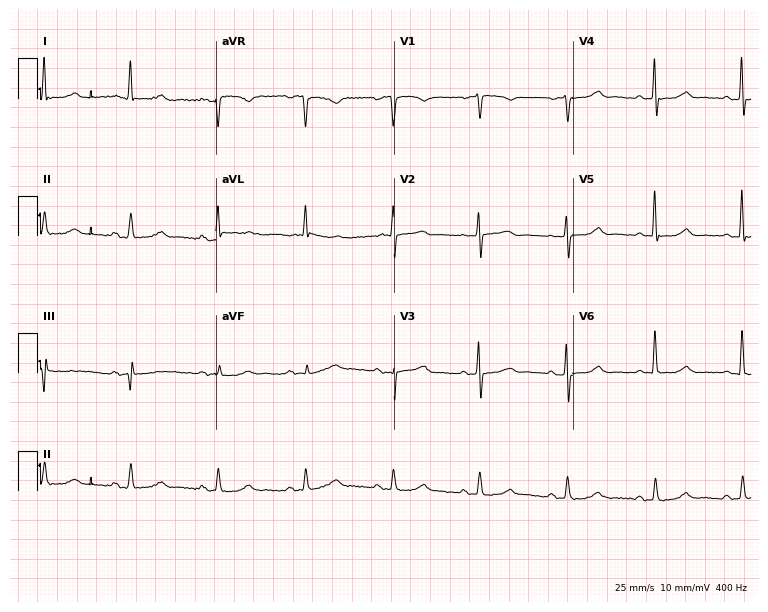
Electrocardiogram, a 71-year-old woman. Overall reading on record: normal ECG.